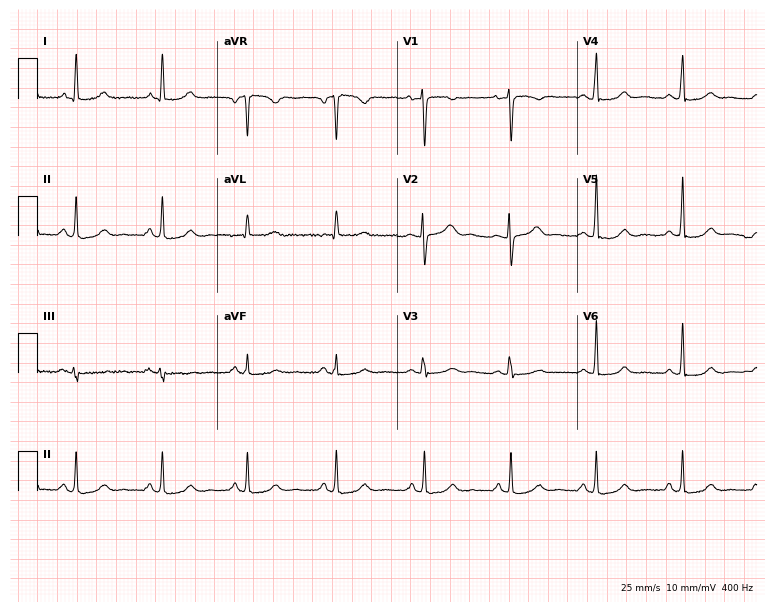
Resting 12-lead electrocardiogram (7.3-second recording at 400 Hz). Patient: a 48-year-old female. None of these six findings is recorded: first-degree AV block, right bundle branch block, left bundle branch block, sinus bradycardia, atrial fibrillation, sinus tachycardia.